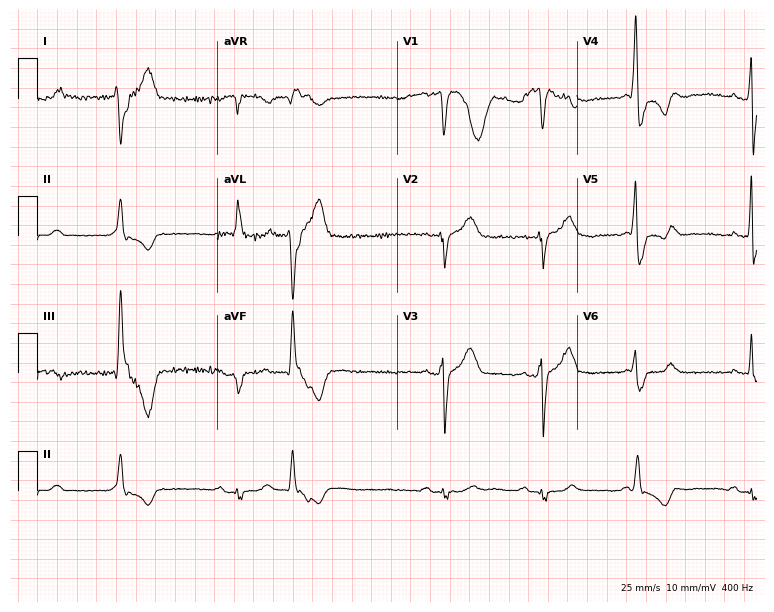
Standard 12-lead ECG recorded from a man, 78 years old (7.3-second recording at 400 Hz). None of these six findings is recorded: first-degree AV block, right bundle branch block, left bundle branch block, sinus bradycardia, atrial fibrillation, sinus tachycardia. Findings outside these six are not listed.